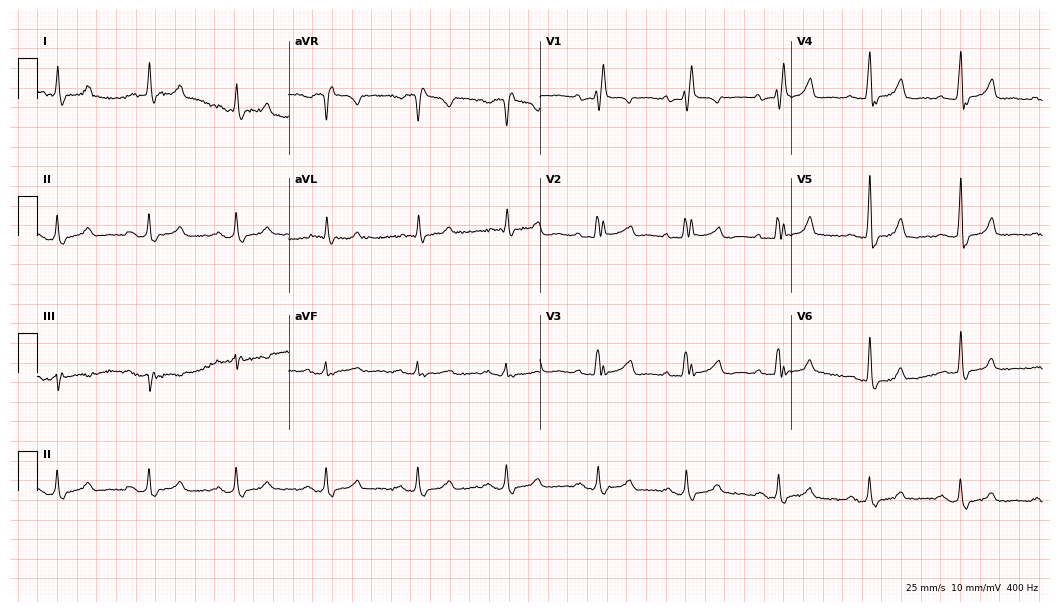
12-lead ECG from a 73-year-old female (10.2-second recording at 400 Hz). No first-degree AV block, right bundle branch block, left bundle branch block, sinus bradycardia, atrial fibrillation or sinus tachycardia recorded for this tracing.